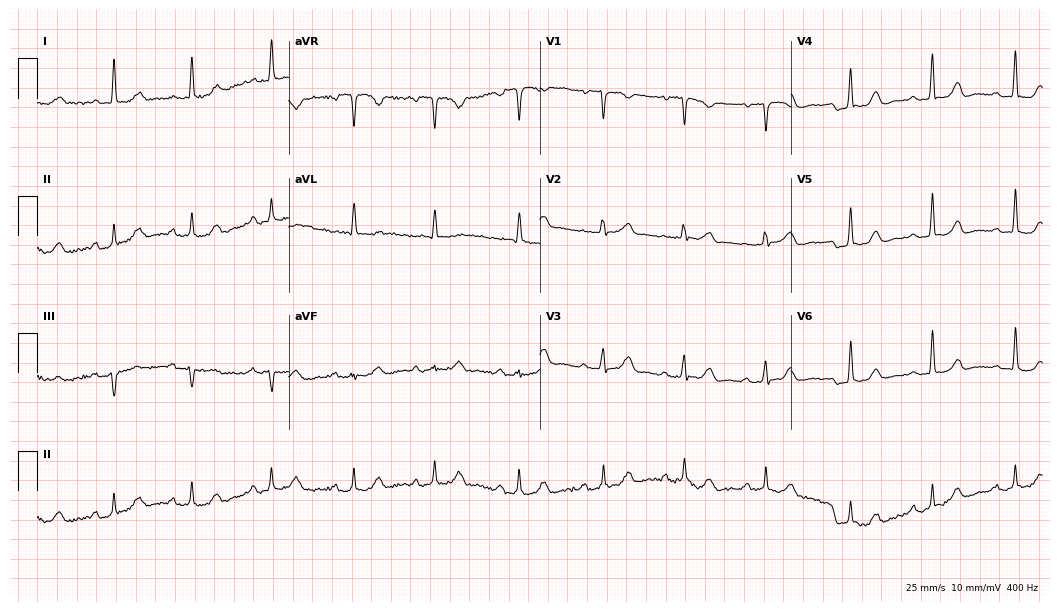
Standard 12-lead ECG recorded from a 79-year-old female patient. Read as a normal ECG.